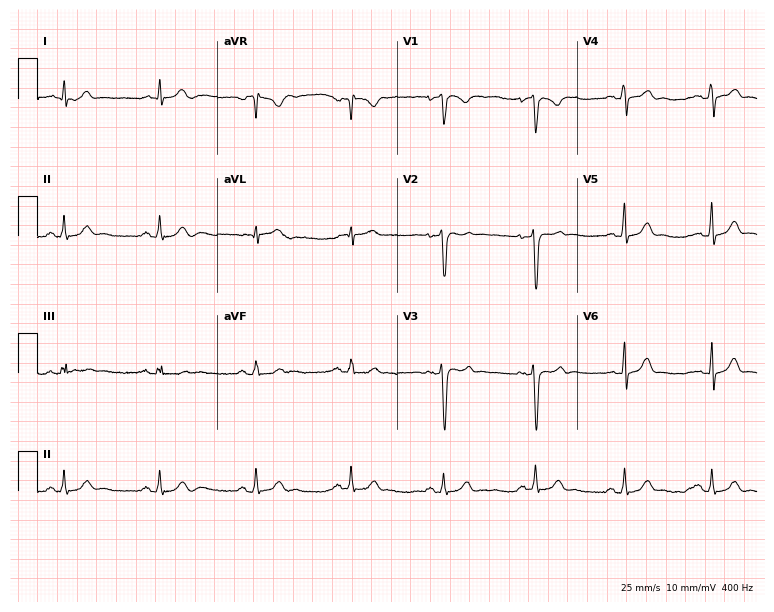
12-lead ECG from a male patient, 26 years old. Labelled as a normal ECG.